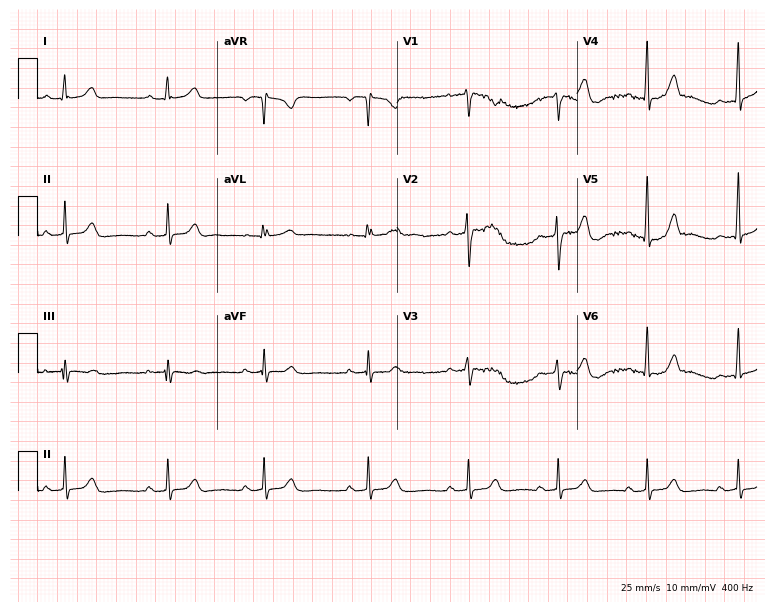
Resting 12-lead electrocardiogram. Patient: a woman, 25 years old. Read as a normal ECG.